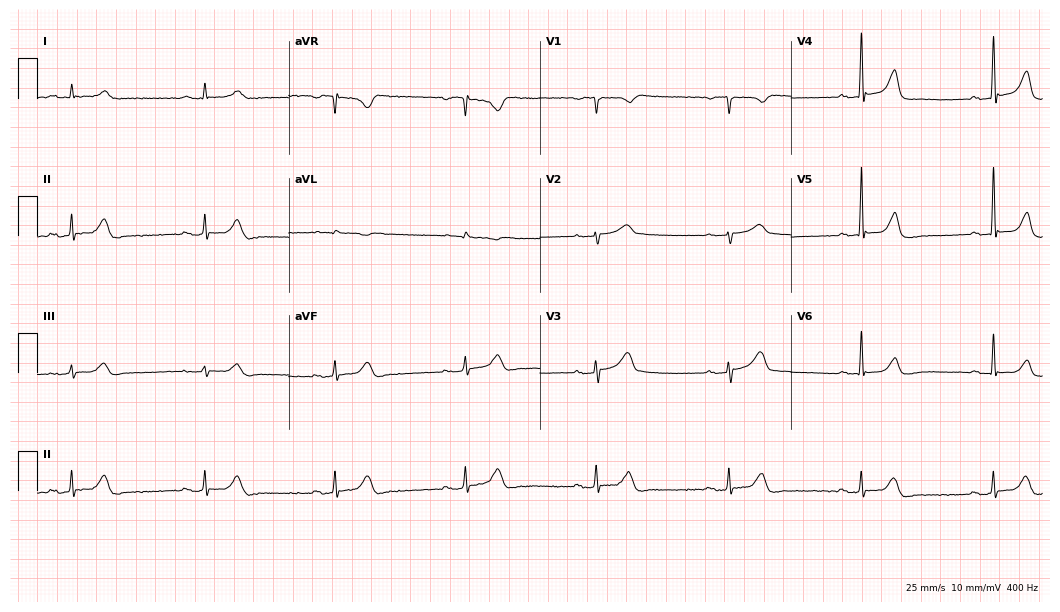
Standard 12-lead ECG recorded from a male patient, 70 years old. None of these six findings is recorded: first-degree AV block, right bundle branch block, left bundle branch block, sinus bradycardia, atrial fibrillation, sinus tachycardia. Only these six findings were labelled.